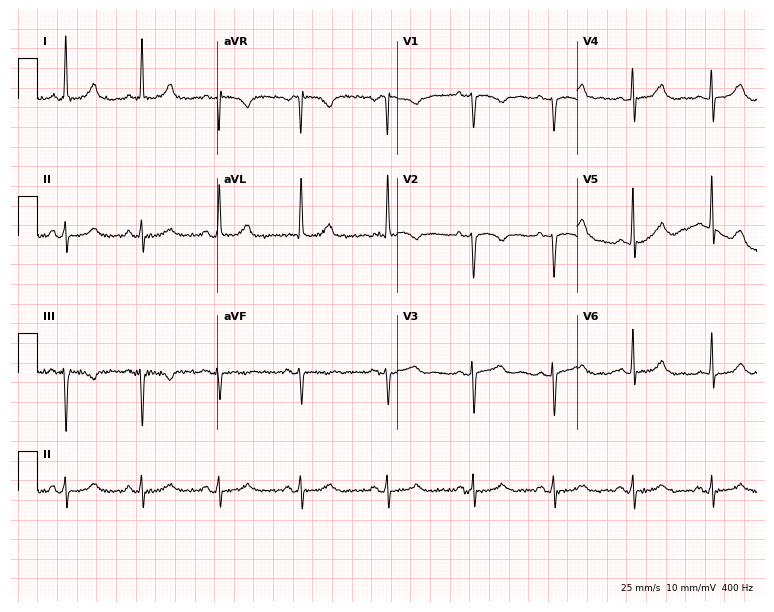
Resting 12-lead electrocardiogram. Patient: an 80-year-old female. None of these six findings is recorded: first-degree AV block, right bundle branch block (RBBB), left bundle branch block (LBBB), sinus bradycardia, atrial fibrillation (AF), sinus tachycardia.